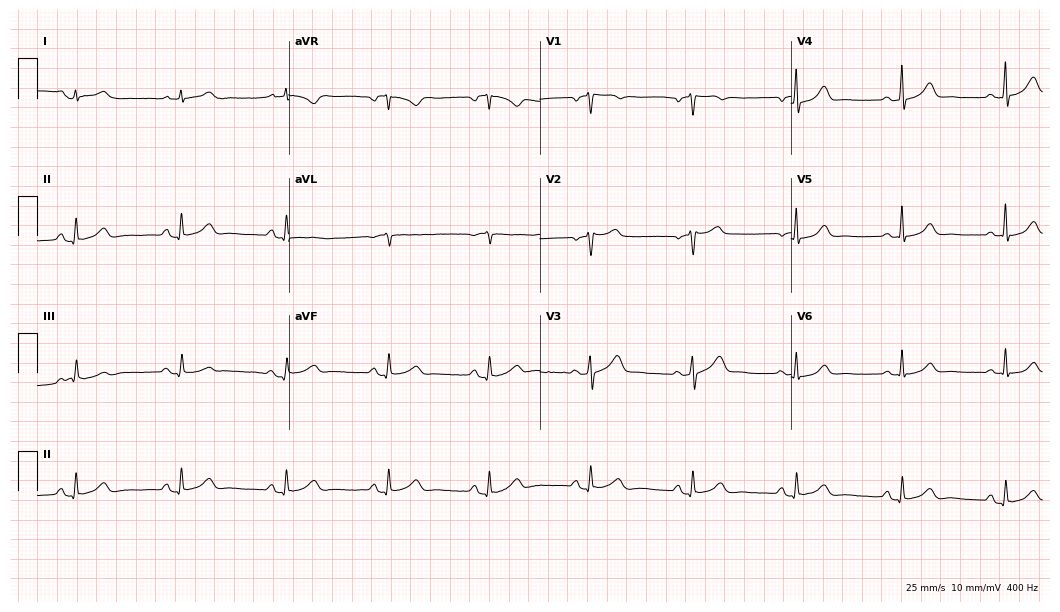
12-lead ECG from a female patient, 65 years old (10.2-second recording at 400 Hz). Recorded interpretation: within normal limits.